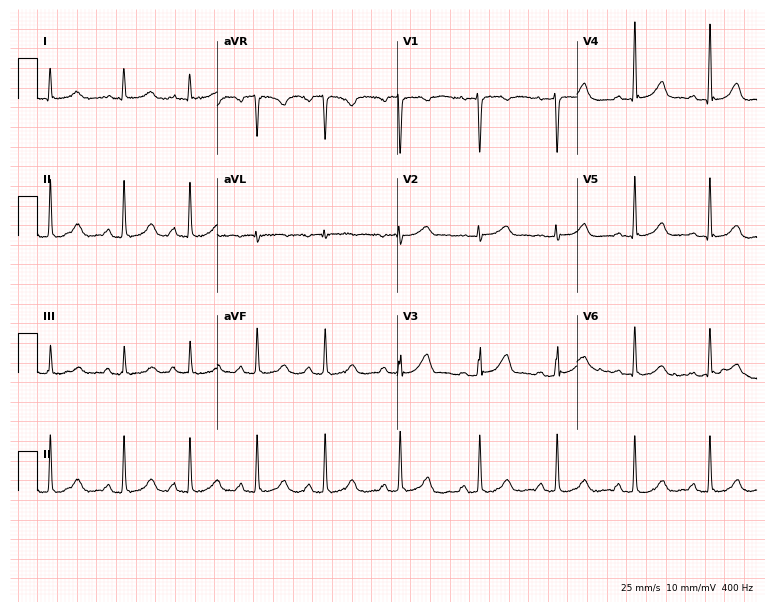
Resting 12-lead electrocardiogram (7.3-second recording at 400 Hz). Patient: a woman, 44 years old. None of these six findings is recorded: first-degree AV block, right bundle branch block, left bundle branch block, sinus bradycardia, atrial fibrillation, sinus tachycardia.